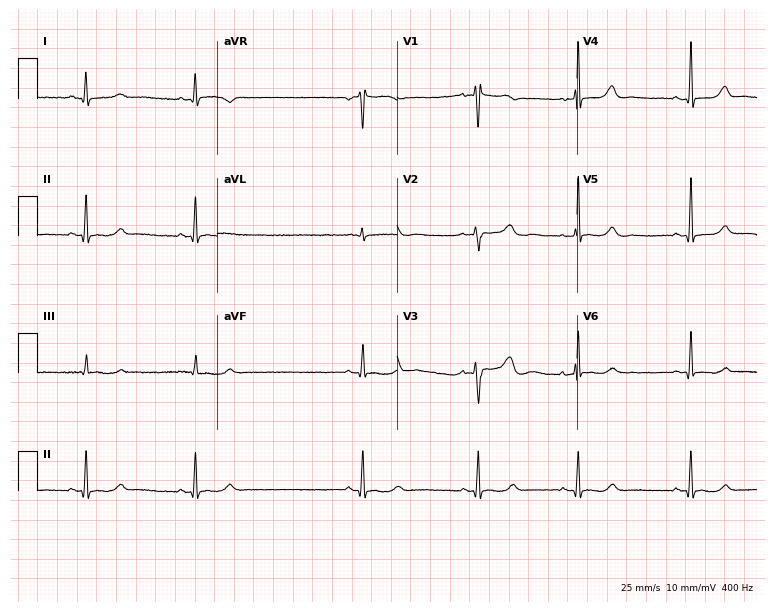
Standard 12-lead ECG recorded from a female, 38 years old. Read as a normal ECG.